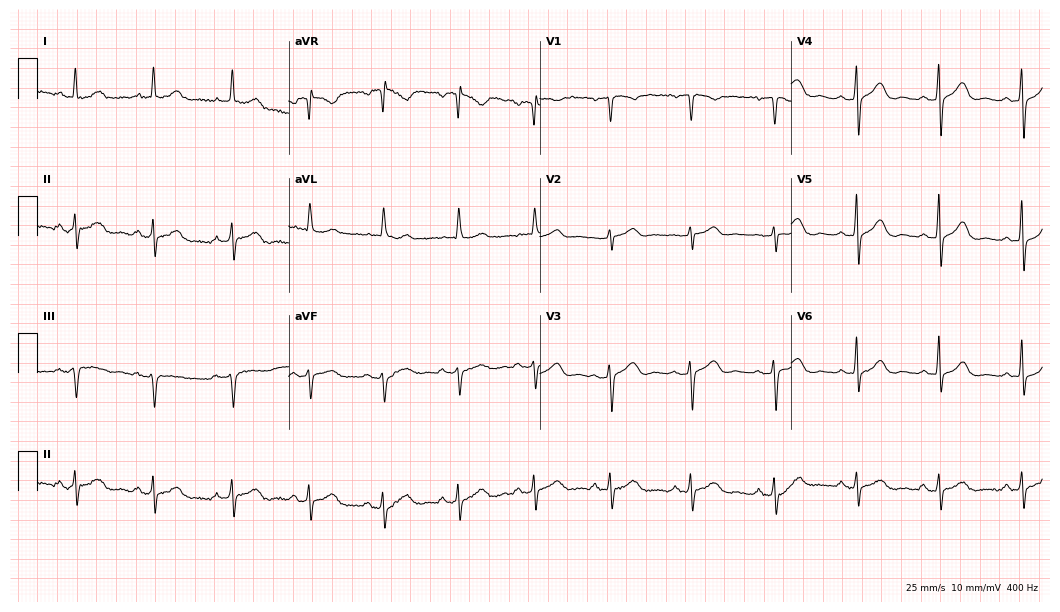
ECG (10.2-second recording at 400 Hz) — a female, 61 years old. Screened for six findings — first-degree AV block, right bundle branch block, left bundle branch block, sinus bradycardia, atrial fibrillation, sinus tachycardia — none is recorded.